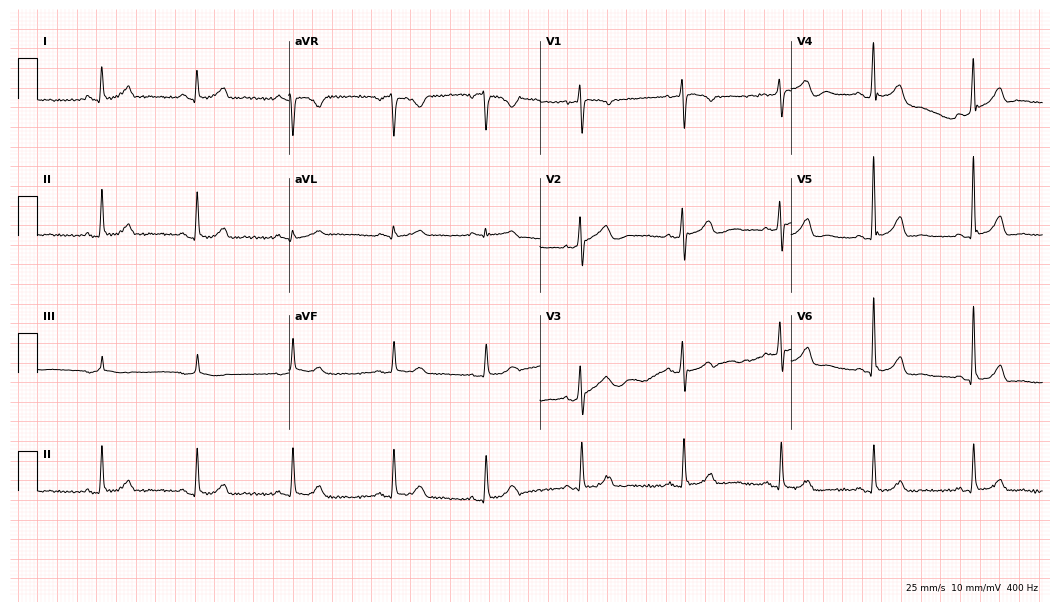
ECG — a 52-year-old female. Labelled as a normal ECG.